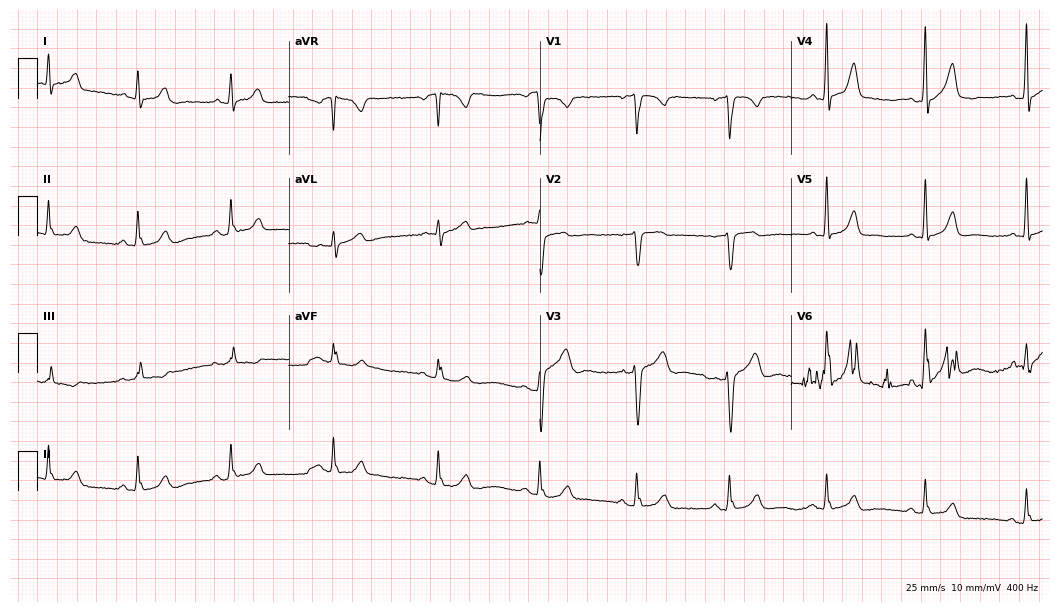
Resting 12-lead electrocardiogram. Patient: a male, 50 years old. Read as a normal ECG.